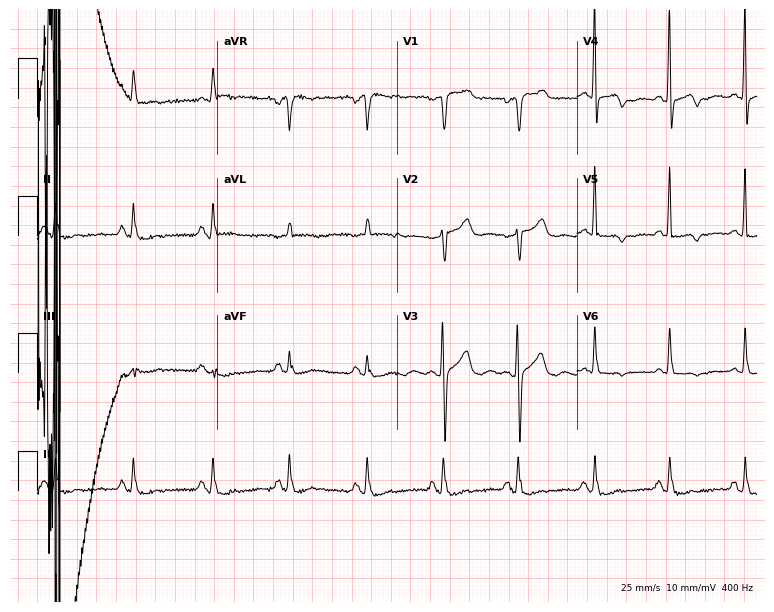
12-lead ECG from an 83-year-old woman. Labelled as a normal ECG.